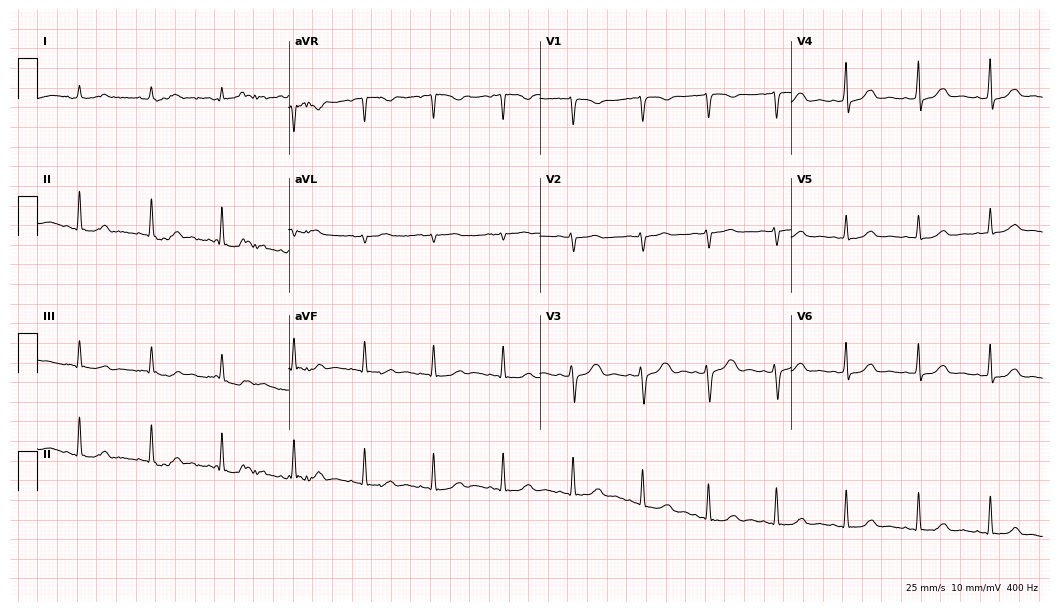
12-lead ECG from a woman, 38 years old (10.2-second recording at 400 Hz). No first-degree AV block, right bundle branch block (RBBB), left bundle branch block (LBBB), sinus bradycardia, atrial fibrillation (AF) or sinus tachycardia recorded for this tracing. Other findings, if any, are not listed.